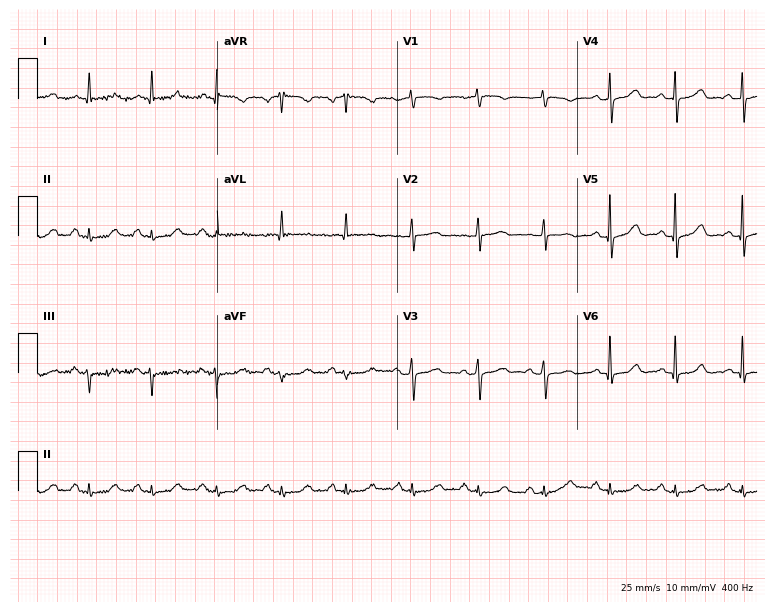
12-lead ECG (7.3-second recording at 400 Hz) from a 75-year-old female. Labelled as a normal ECG.